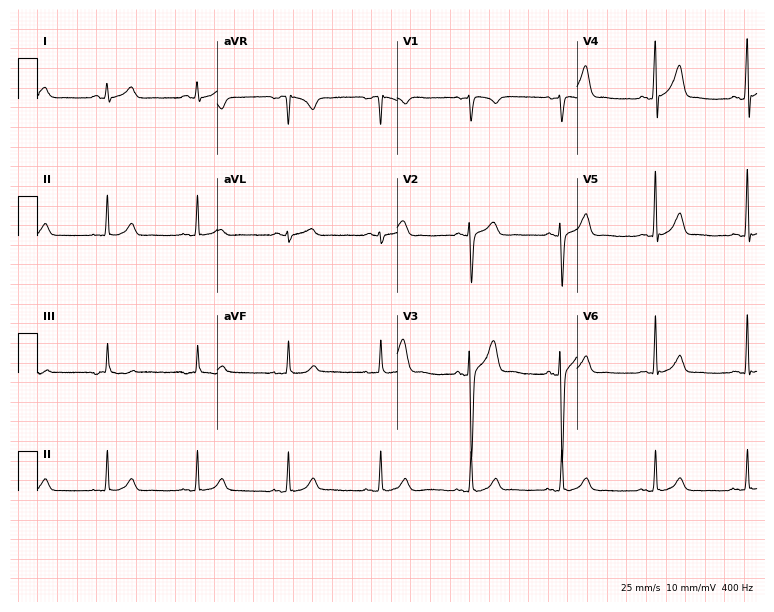
Standard 12-lead ECG recorded from a 25-year-old man. Read as a normal ECG.